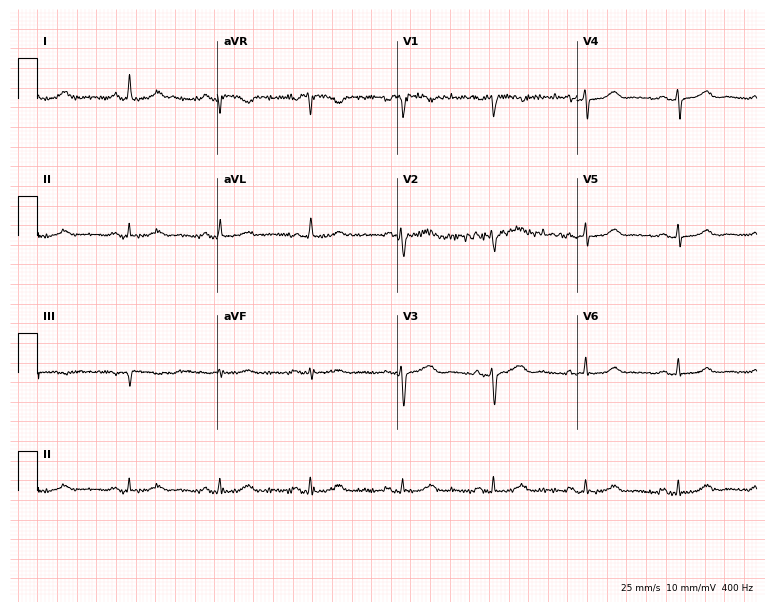
12-lead ECG from a 55-year-old female (7.3-second recording at 400 Hz). Recorded interpretation: within normal limits.